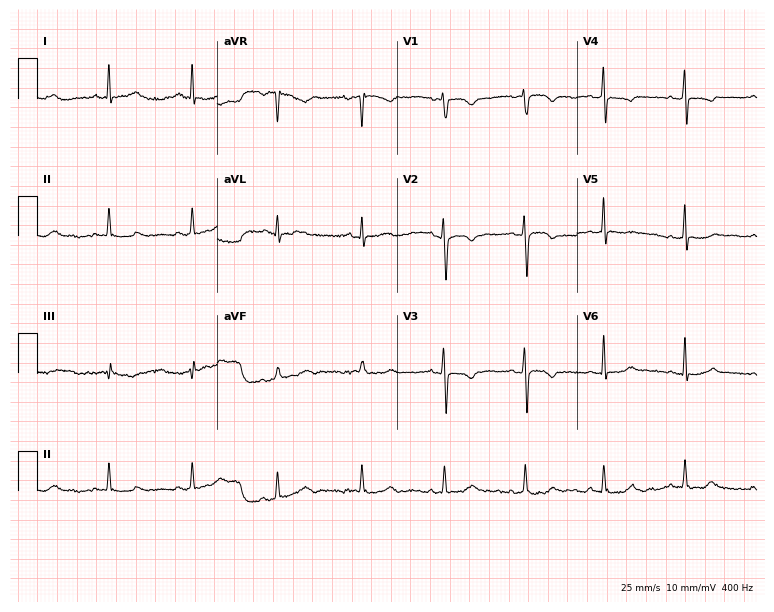
12-lead ECG (7.3-second recording at 400 Hz) from a 25-year-old female patient. Screened for six findings — first-degree AV block, right bundle branch block, left bundle branch block, sinus bradycardia, atrial fibrillation, sinus tachycardia — none is recorded. Findings outside these six are not listed.